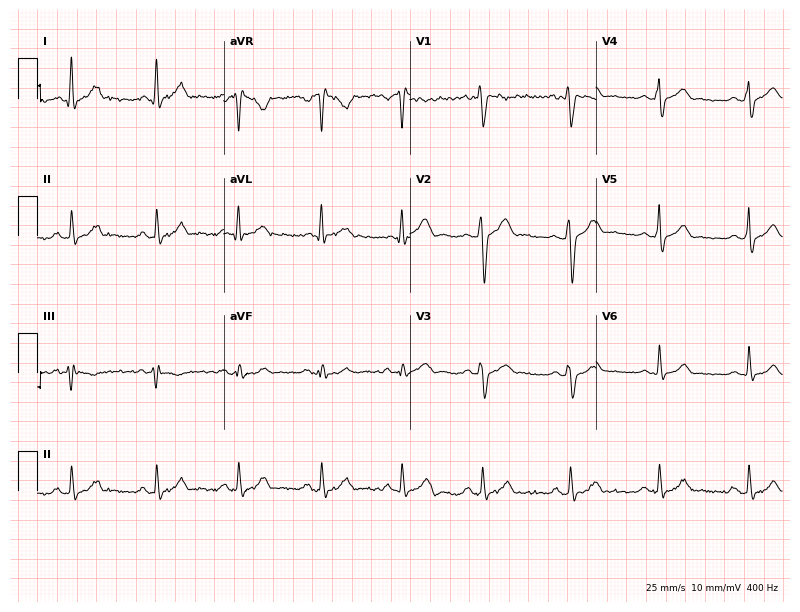
12-lead ECG from a 28-year-old male patient. Screened for six findings — first-degree AV block, right bundle branch block, left bundle branch block, sinus bradycardia, atrial fibrillation, sinus tachycardia — none is recorded.